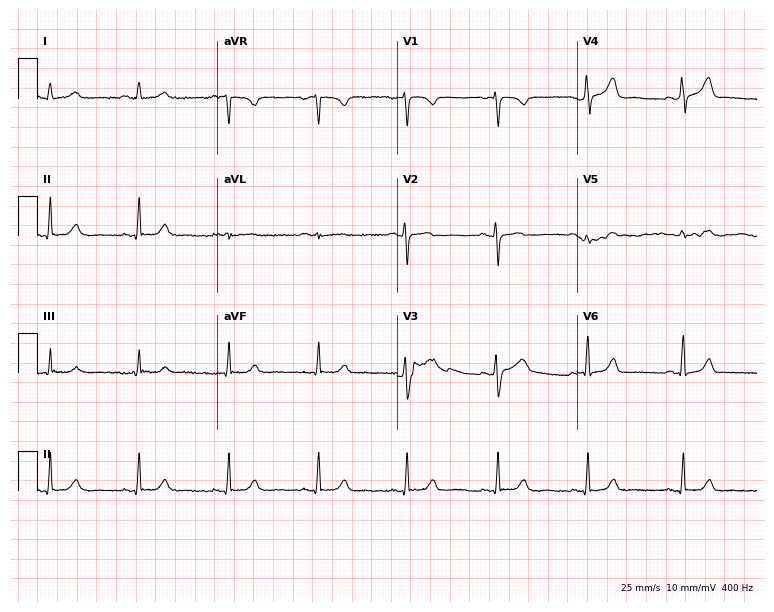
12-lead ECG from a 34-year-old woman. Labelled as a normal ECG.